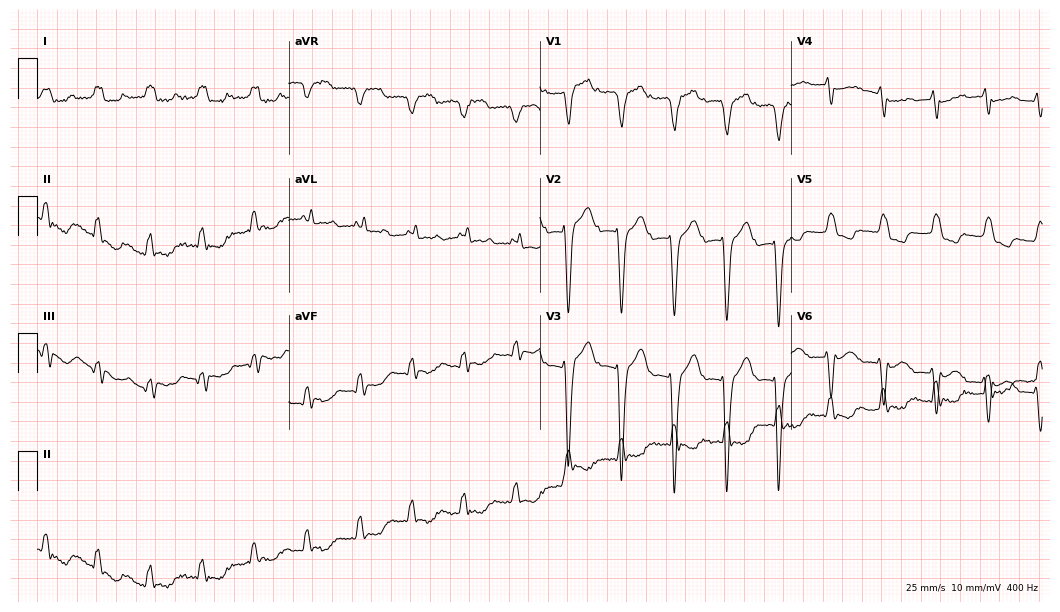
Resting 12-lead electrocardiogram (10.2-second recording at 400 Hz). Patient: an 85-year-old female. The tracing shows left bundle branch block, sinus tachycardia (a sinus rate of 100 beats per minute or more).